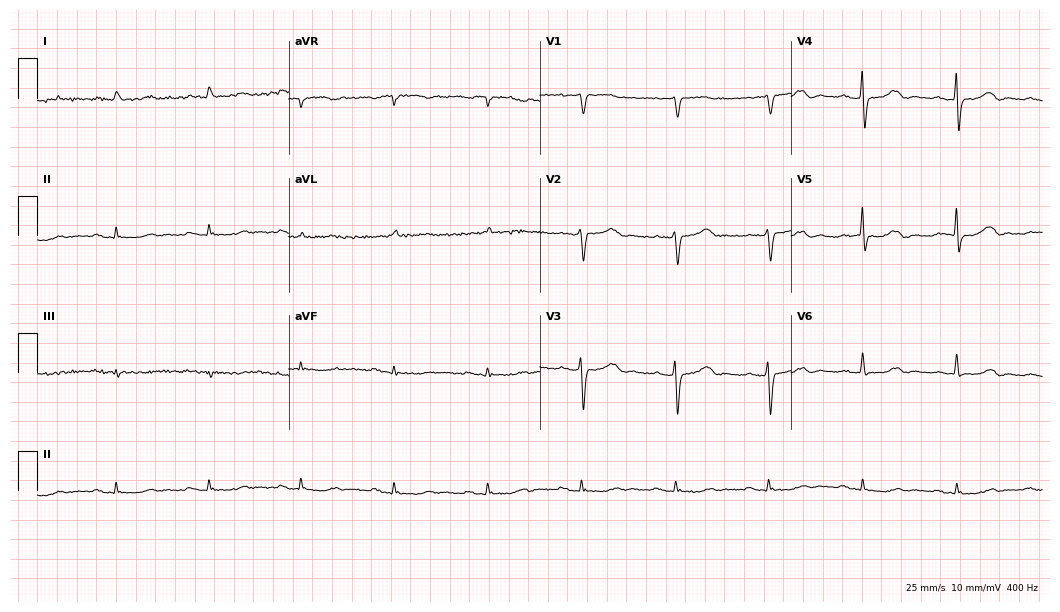
Electrocardiogram (10.2-second recording at 400 Hz), a male patient, 82 years old. Of the six screened findings (first-degree AV block, right bundle branch block, left bundle branch block, sinus bradycardia, atrial fibrillation, sinus tachycardia), none is recorded.